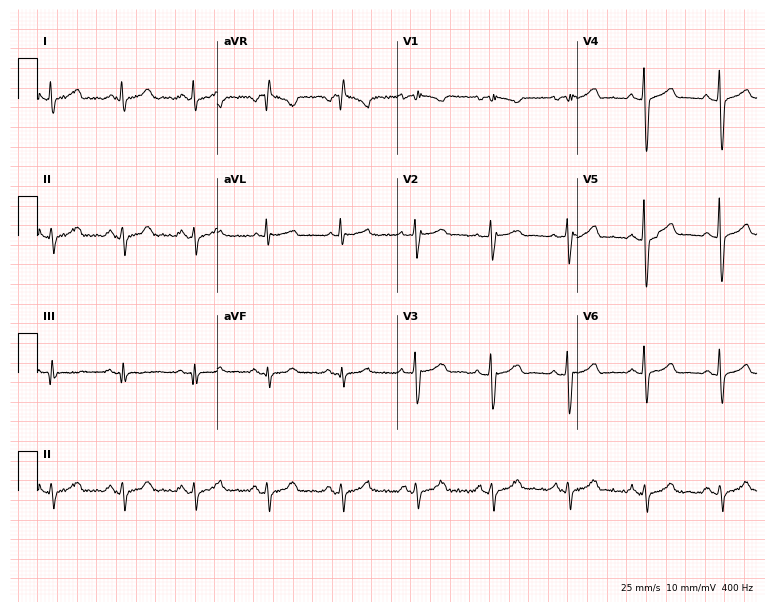
Resting 12-lead electrocardiogram. Patient: a female, 62 years old. None of these six findings is recorded: first-degree AV block, right bundle branch block, left bundle branch block, sinus bradycardia, atrial fibrillation, sinus tachycardia. Findings outside these six are not listed.